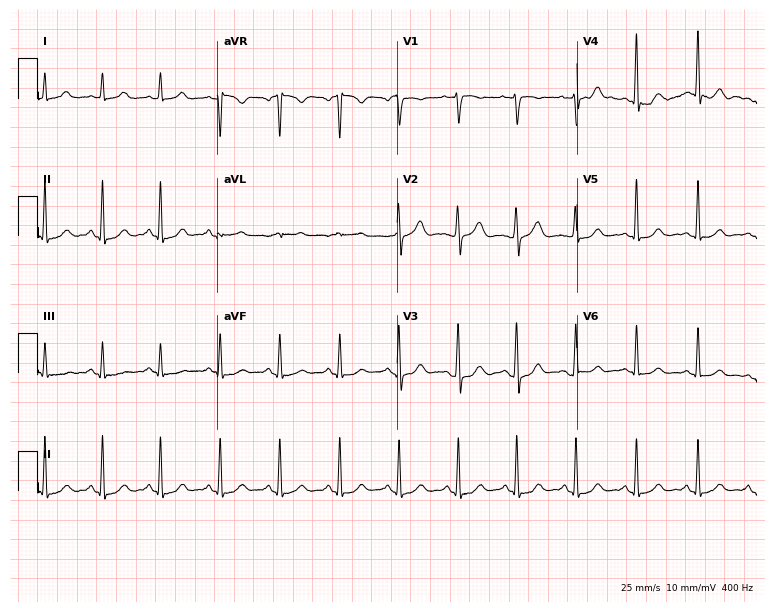
Resting 12-lead electrocardiogram (7.3-second recording at 400 Hz). Patient: a female, 48 years old. Read as a normal ECG.